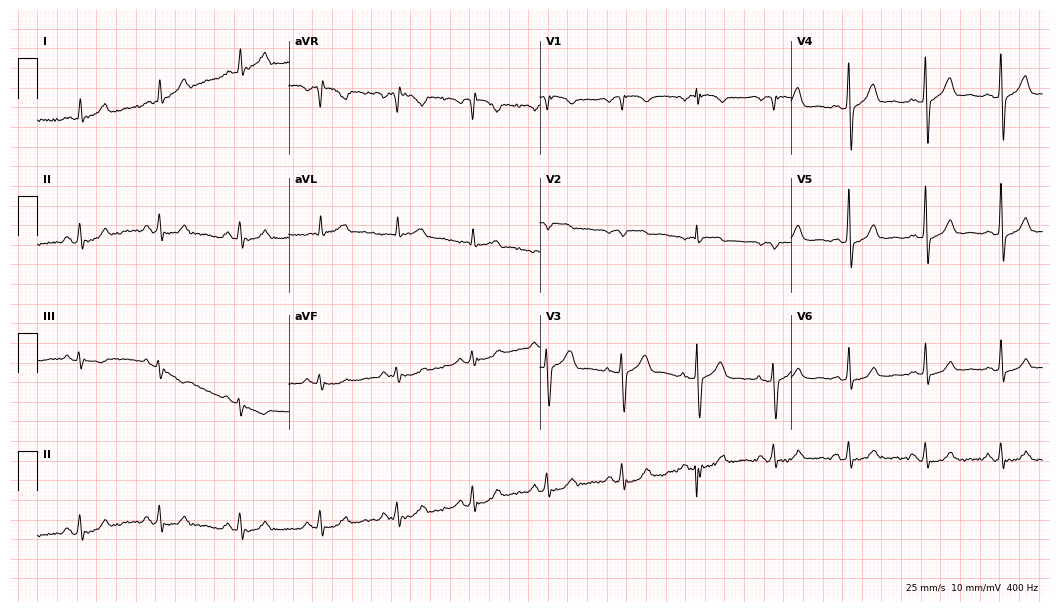
Standard 12-lead ECG recorded from a male, 57 years old (10.2-second recording at 400 Hz). Read as a normal ECG.